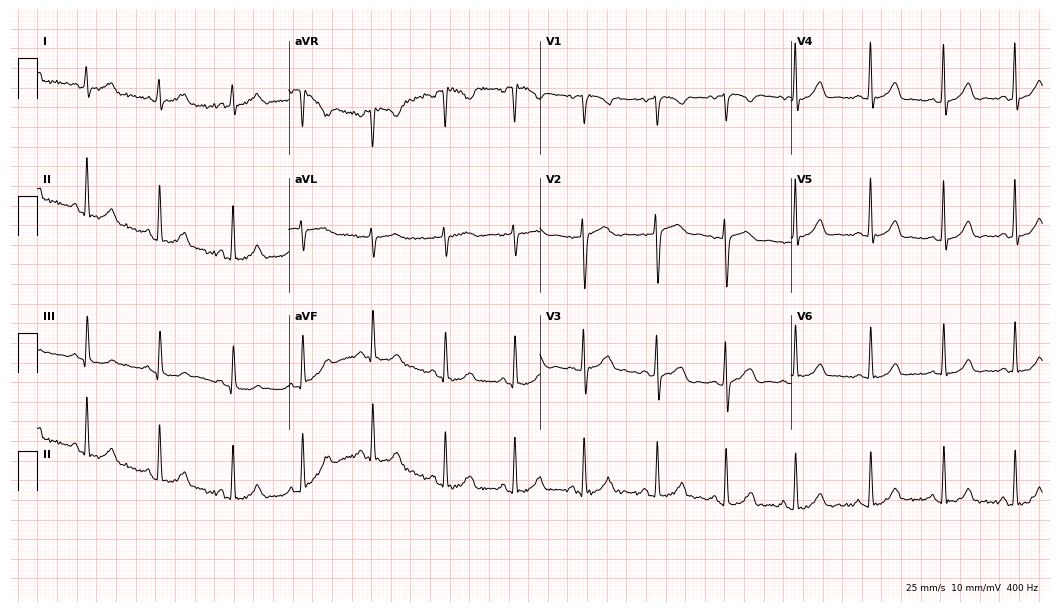
Standard 12-lead ECG recorded from a woman, 27 years old. Read as a normal ECG.